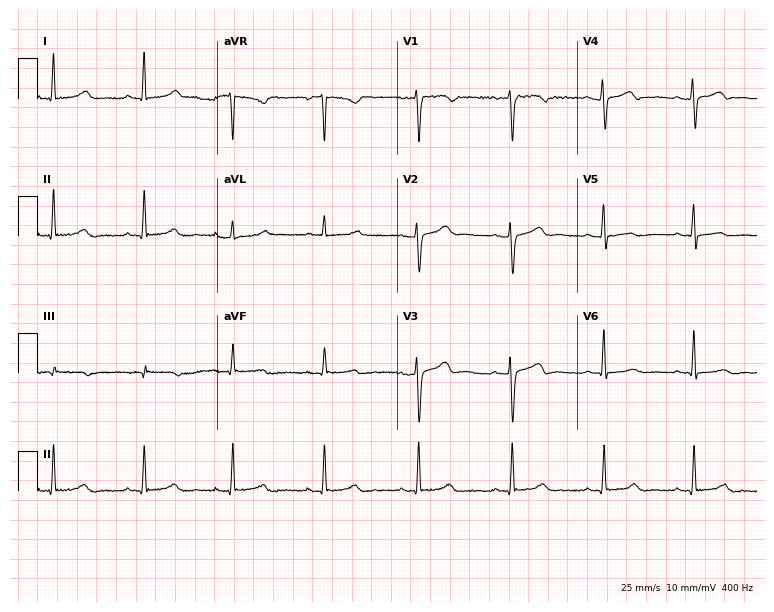
ECG (7.3-second recording at 400 Hz) — a 45-year-old woman. Screened for six findings — first-degree AV block, right bundle branch block, left bundle branch block, sinus bradycardia, atrial fibrillation, sinus tachycardia — none is recorded.